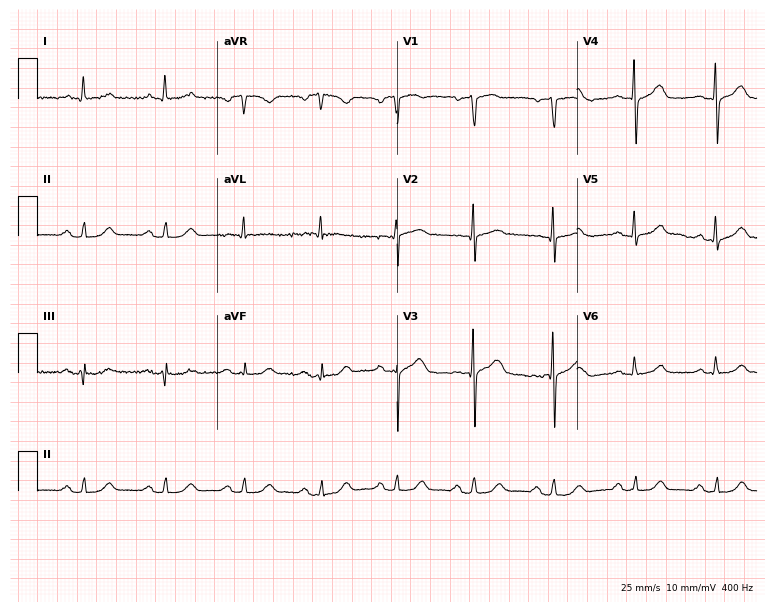
ECG (7.3-second recording at 400 Hz) — a 55-year-old man. Labelled as a normal ECG.